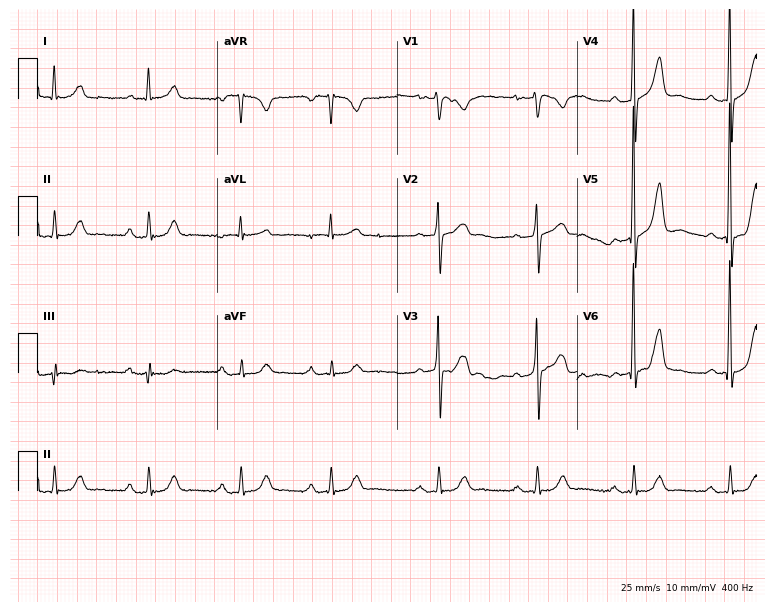
Resting 12-lead electrocardiogram. Patient: a male, 75 years old. The tracing shows first-degree AV block.